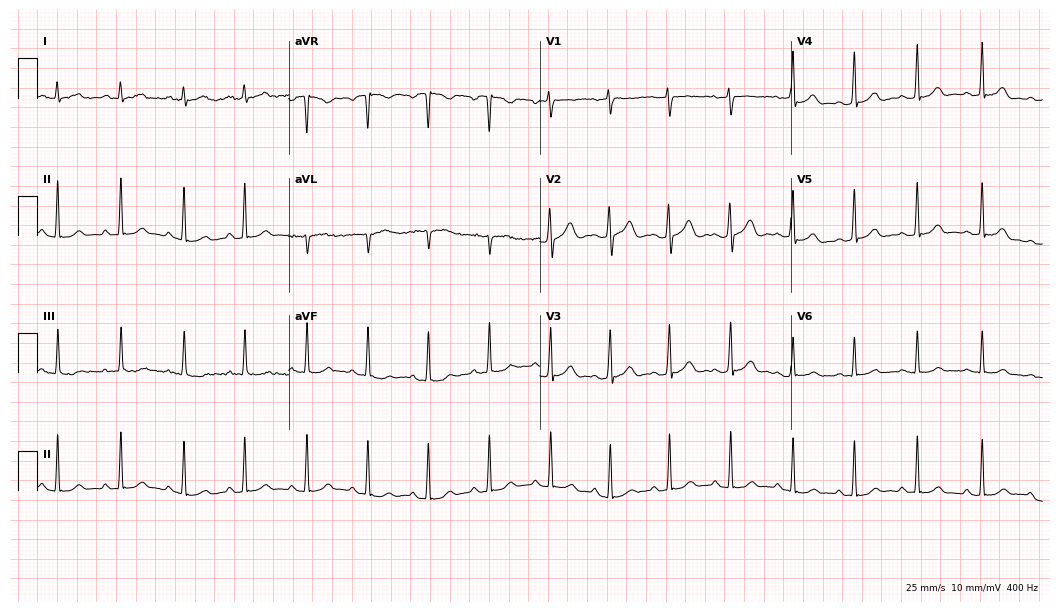
Standard 12-lead ECG recorded from a woman, 21 years old. Read as a normal ECG.